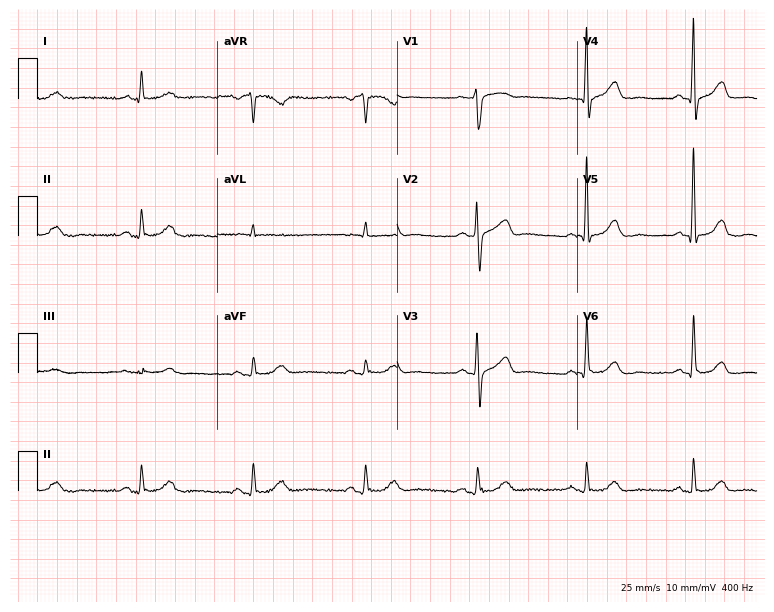
Standard 12-lead ECG recorded from a man, 80 years old. Read as a normal ECG.